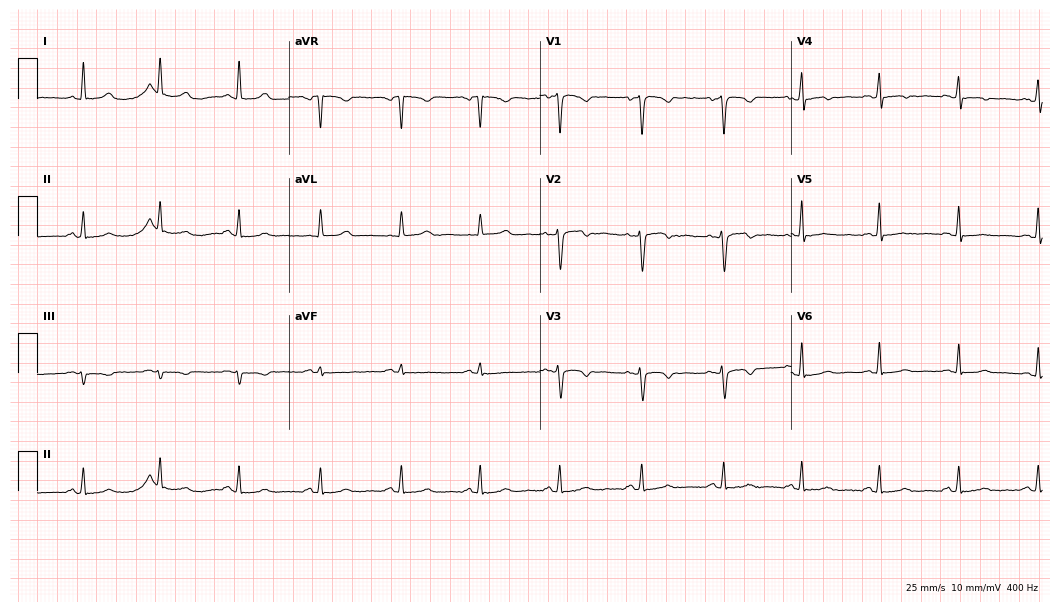
12-lead ECG (10.2-second recording at 400 Hz) from a 42-year-old female patient. Screened for six findings — first-degree AV block, right bundle branch block, left bundle branch block, sinus bradycardia, atrial fibrillation, sinus tachycardia — none is recorded.